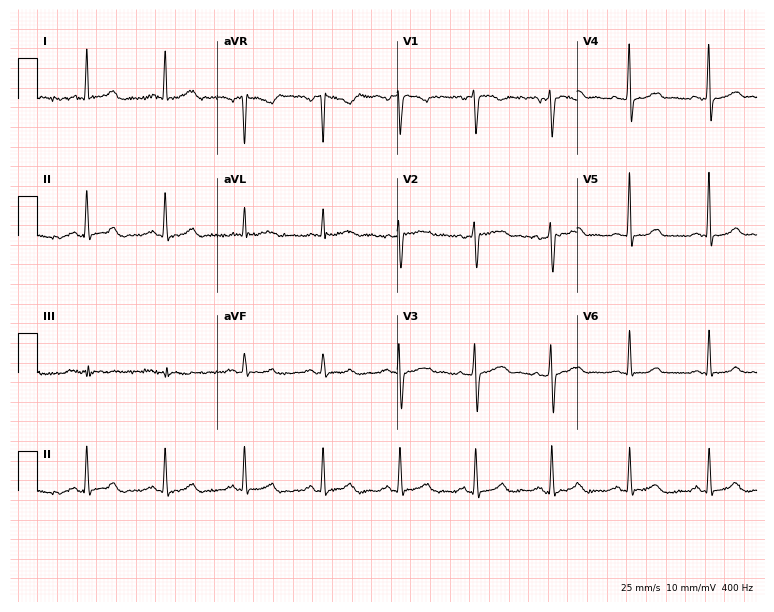
12-lead ECG from a female patient, 55 years old (7.3-second recording at 400 Hz). Recorded interpretation: within normal limits.